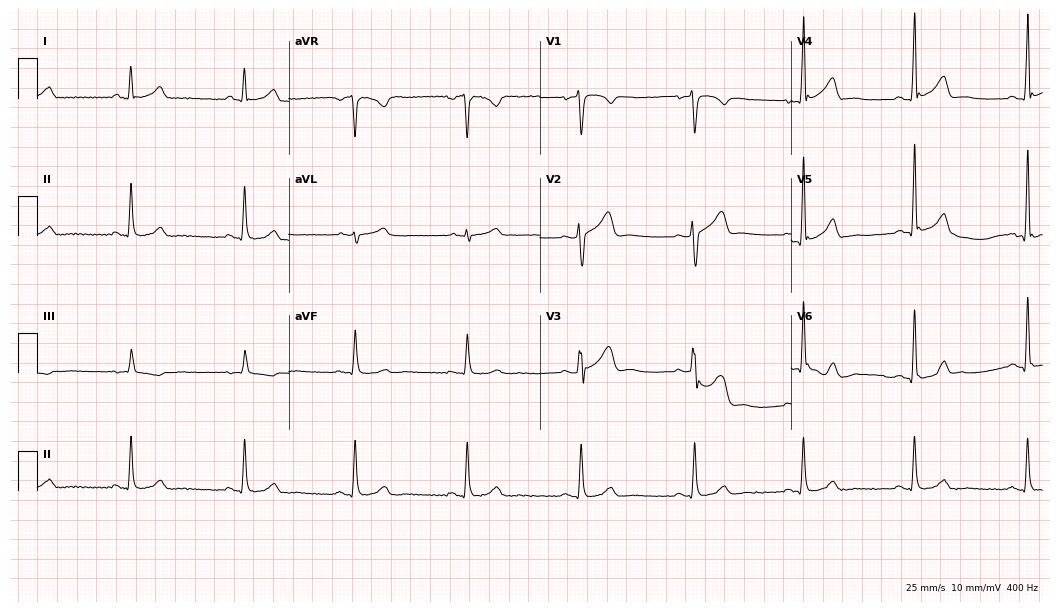
Standard 12-lead ECG recorded from a 58-year-old male patient. None of these six findings is recorded: first-degree AV block, right bundle branch block (RBBB), left bundle branch block (LBBB), sinus bradycardia, atrial fibrillation (AF), sinus tachycardia. Only these six findings were labelled.